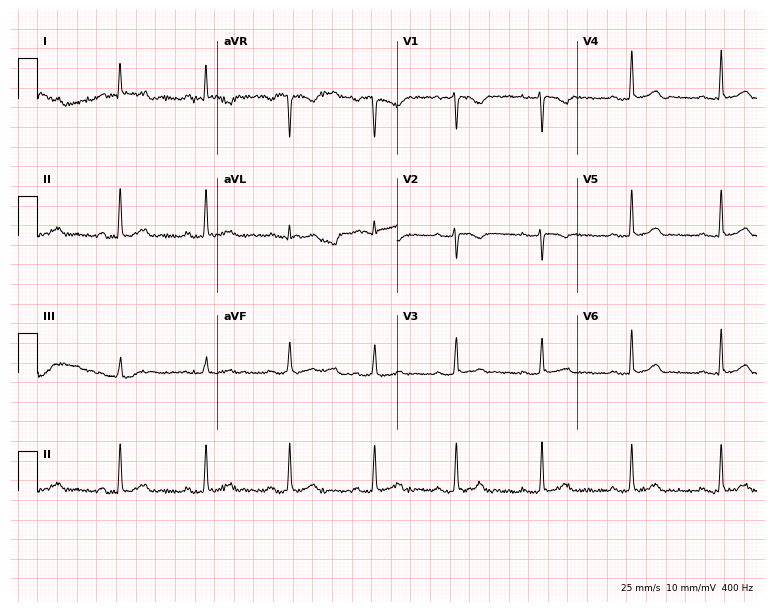
Resting 12-lead electrocardiogram. Patient: a woman, 32 years old. None of these six findings is recorded: first-degree AV block, right bundle branch block, left bundle branch block, sinus bradycardia, atrial fibrillation, sinus tachycardia. Only these six findings were labelled.